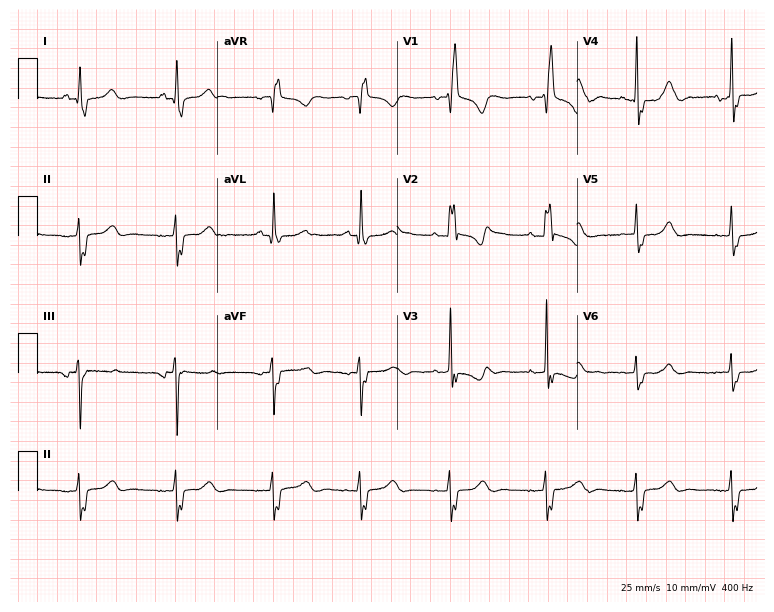
12-lead ECG from a female patient, 17 years old. Findings include right bundle branch block.